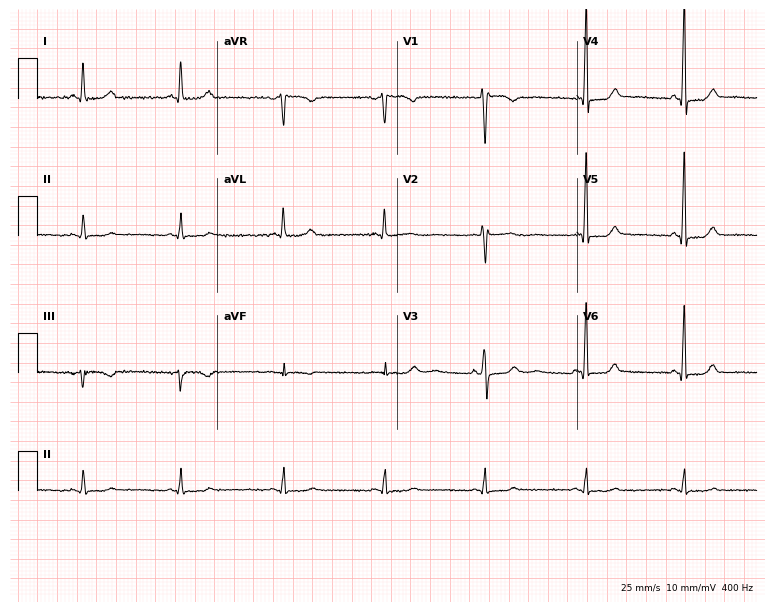
12-lead ECG from a female patient, 40 years old. No first-degree AV block, right bundle branch block (RBBB), left bundle branch block (LBBB), sinus bradycardia, atrial fibrillation (AF) or sinus tachycardia recorded for this tracing. Findings outside these six are not listed.